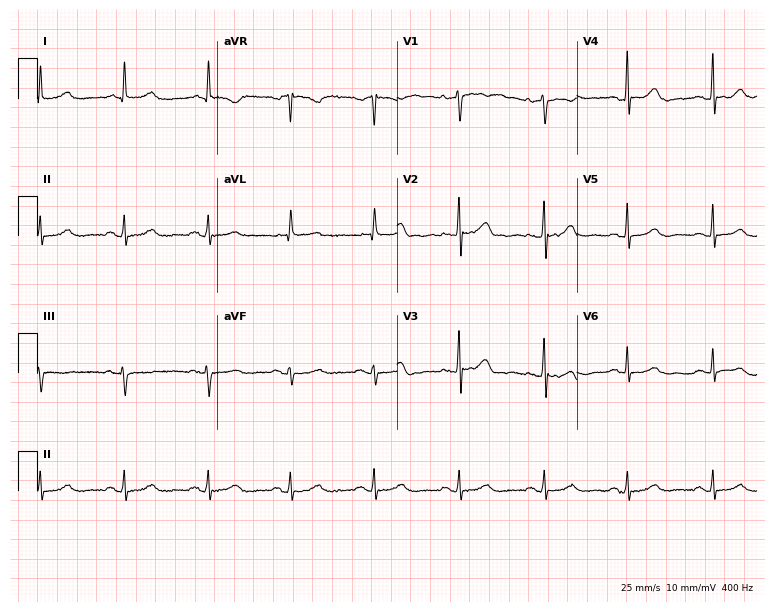
12-lead ECG from a woman, 68 years old (7.3-second recording at 400 Hz). Recorded interpretation: within normal limits.